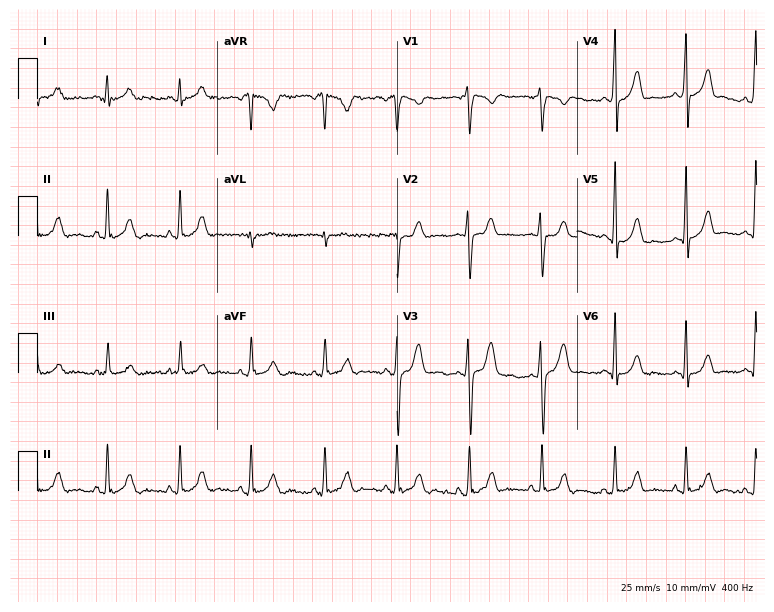
Standard 12-lead ECG recorded from an 18-year-old male (7.3-second recording at 400 Hz). Read as a normal ECG.